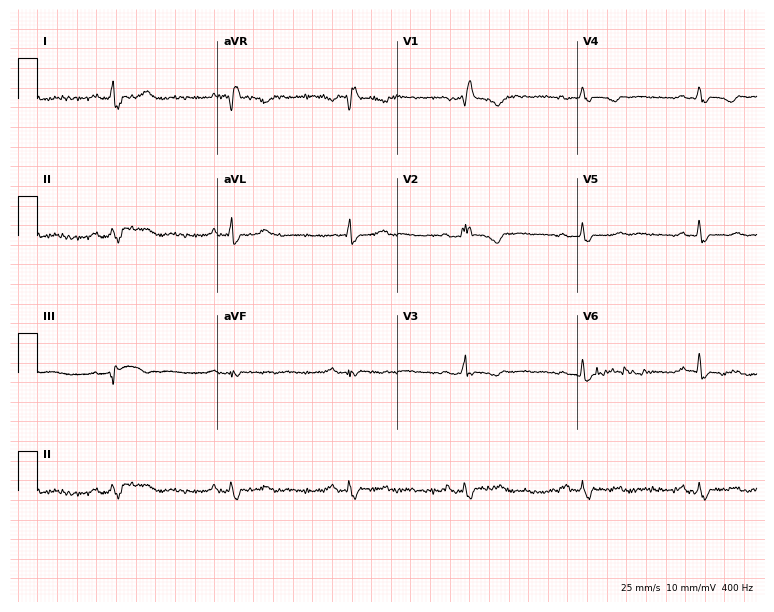
12-lead ECG from a 40-year-old female (7.3-second recording at 400 Hz). Shows right bundle branch block.